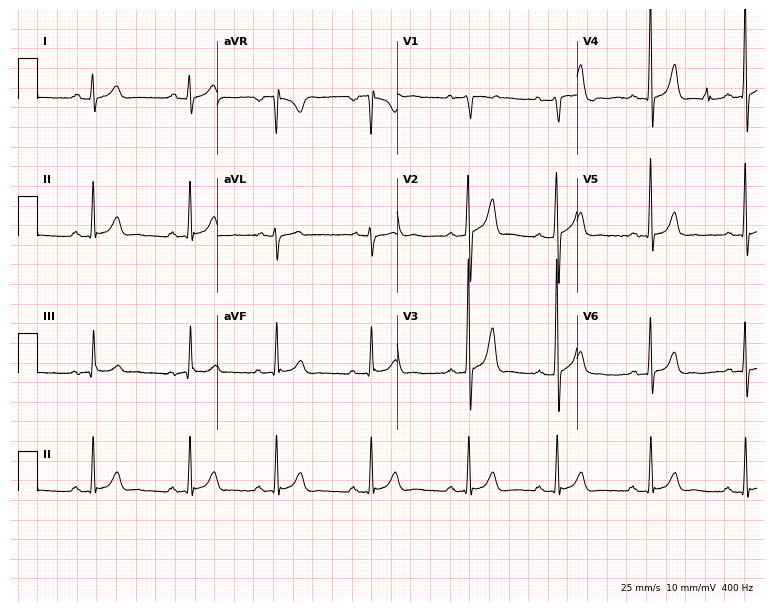
Standard 12-lead ECG recorded from an 18-year-old man. None of these six findings is recorded: first-degree AV block, right bundle branch block (RBBB), left bundle branch block (LBBB), sinus bradycardia, atrial fibrillation (AF), sinus tachycardia.